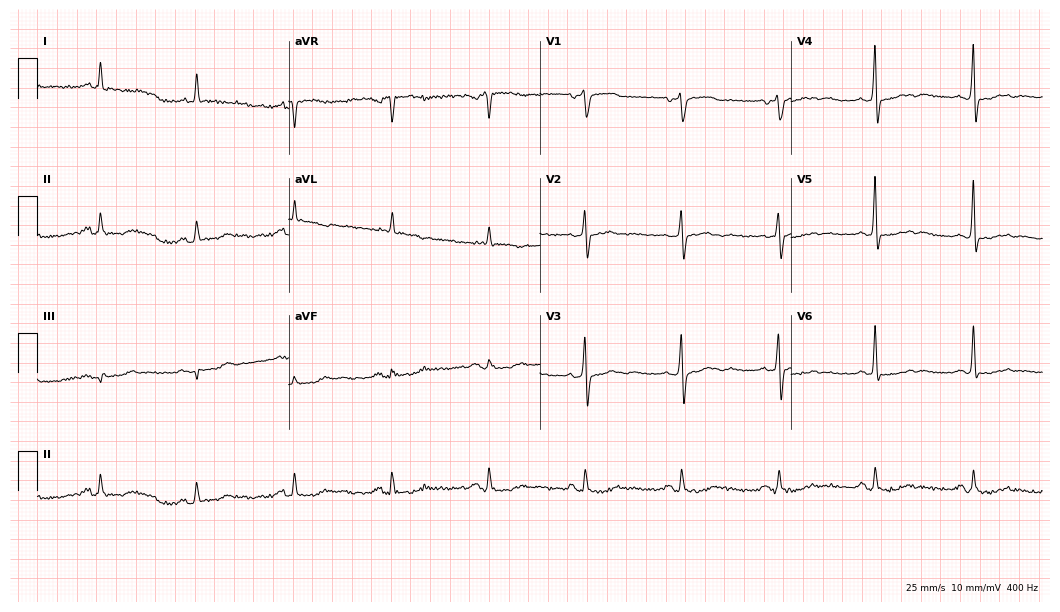
Resting 12-lead electrocardiogram. Patient: a man, 83 years old. None of these six findings is recorded: first-degree AV block, right bundle branch block, left bundle branch block, sinus bradycardia, atrial fibrillation, sinus tachycardia.